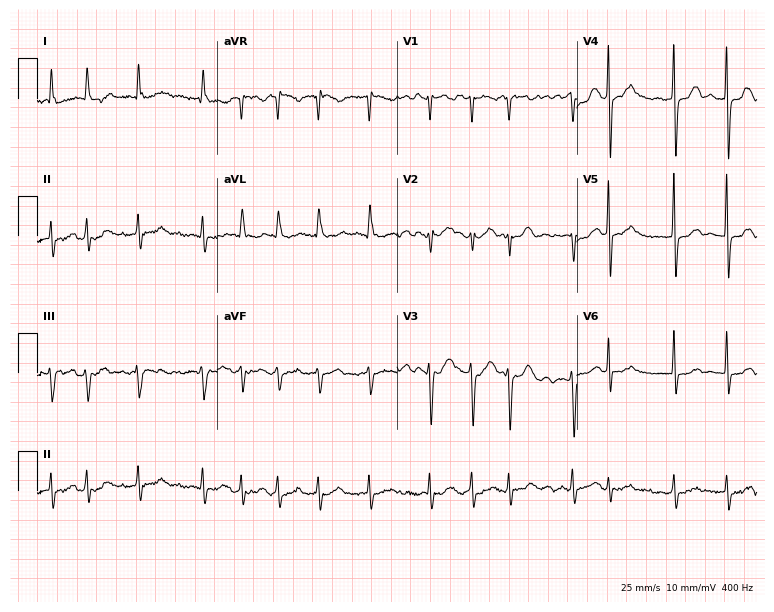
12-lead ECG (7.3-second recording at 400 Hz) from a female patient, 78 years old. Findings include atrial fibrillation.